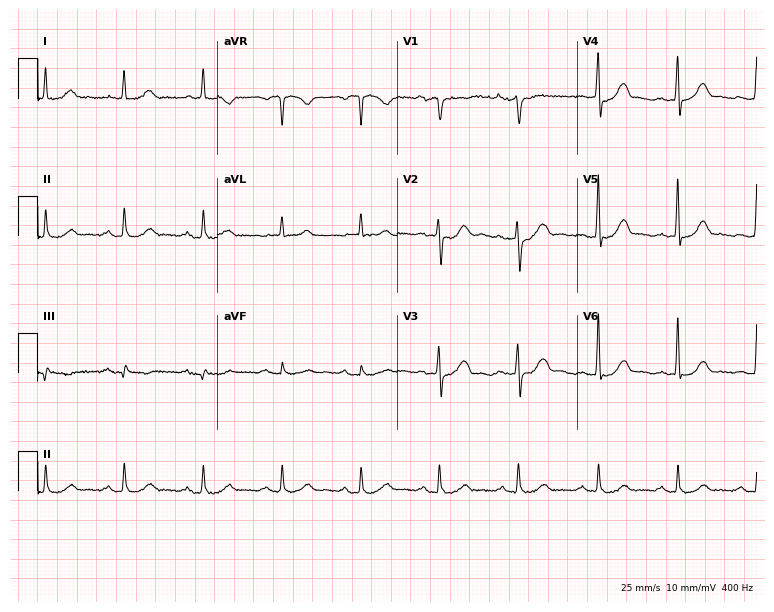
Resting 12-lead electrocardiogram (7.3-second recording at 400 Hz). Patient: a 68-year-old man. Read as a normal ECG.